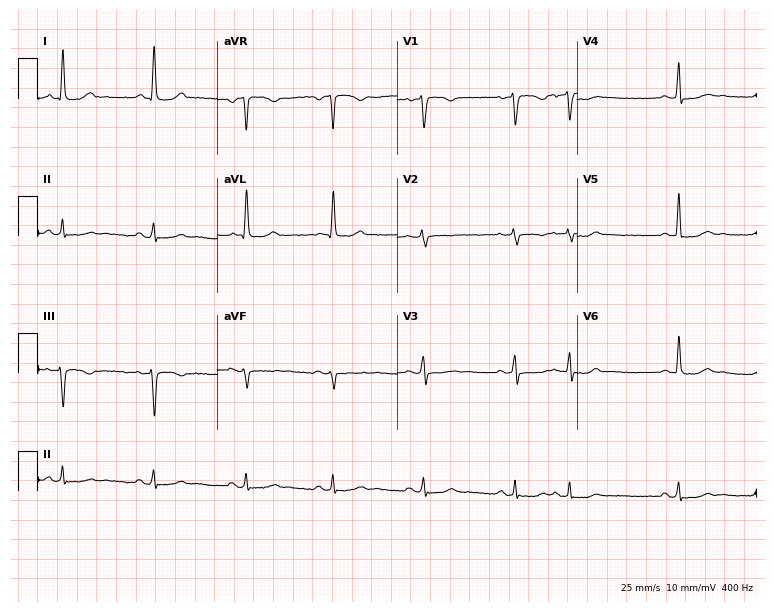
Electrocardiogram, a female patient, 71 years old. Of the six screened findings (first-degree AV block, right bundle branch block, left bundle branch block, sinus bradycardia, atrial fibrillation, sinus tachycardia), none is recorded.